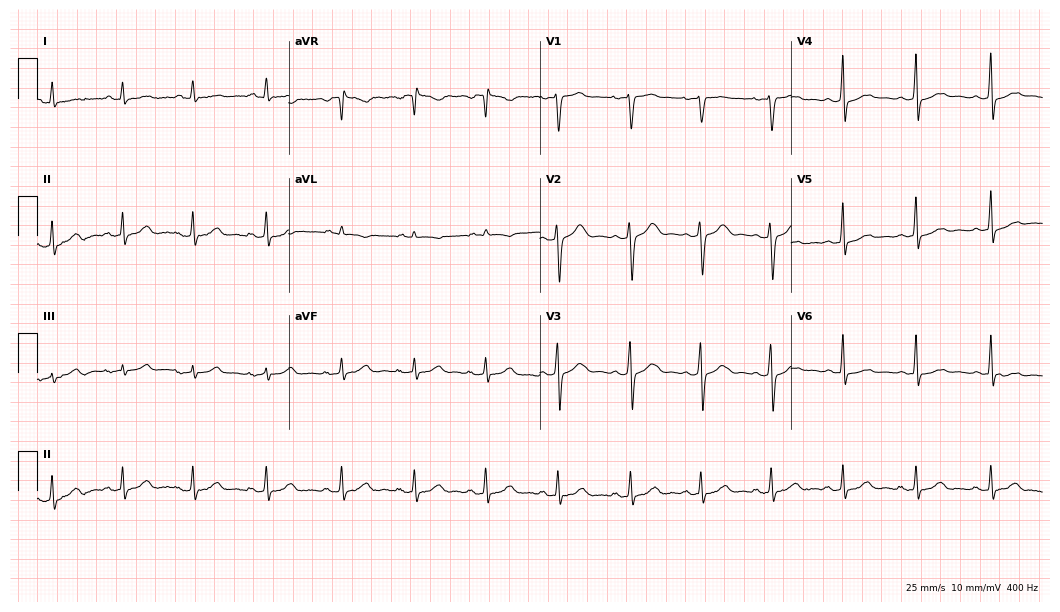
12-lead ECG from a female patient, 45 years old (10.2-second recording at 400 Hz). No first-degree AV block, right bundle branch block, left bundle branch block, sinus bradycardia, atrial fibrillation or sinus tachycardia recorded for this tracing. Findings outside these six are not listed.